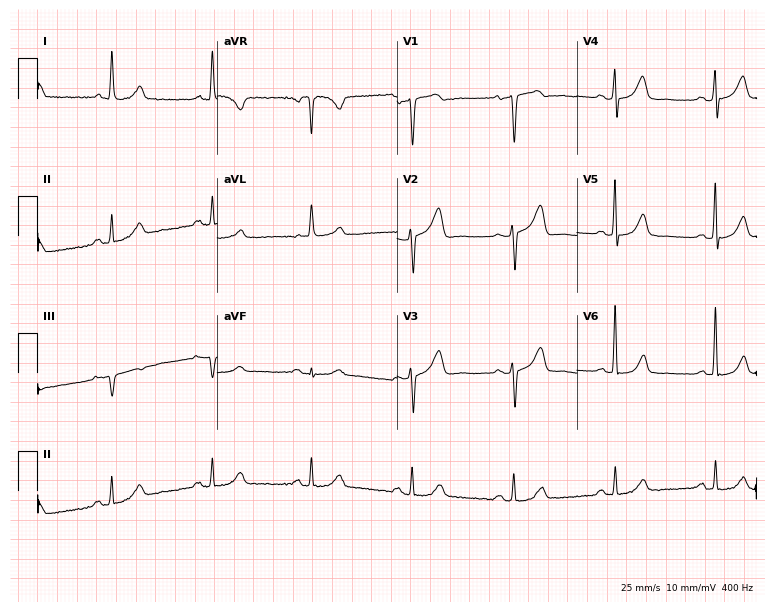
Resting 12-lead electrocardiogram (7.3-second recording at 400 Hz). Patient: a 74-year-old female. None of these six findings is recorded: first-degree AV block, right bundle branch block (RBBB), left bundle branch block (LBBB), sinus bradycardia, atrial fibrillation (AF), sinus tachycardia.